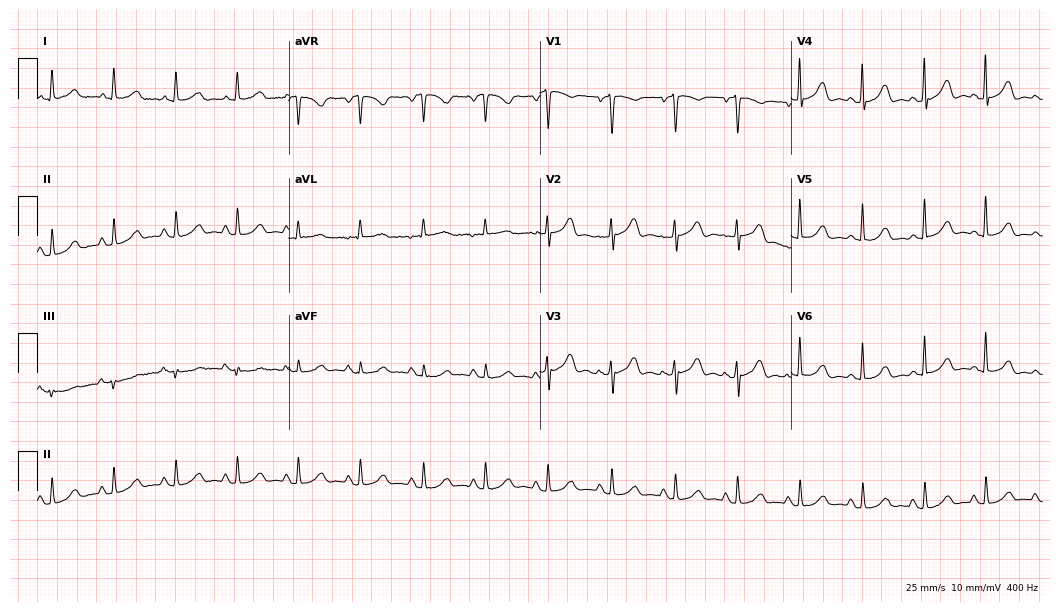
ECG (10.2-second recording at 400 Hz) — a female patient, 83 years old. Labelled as a normal ECG.